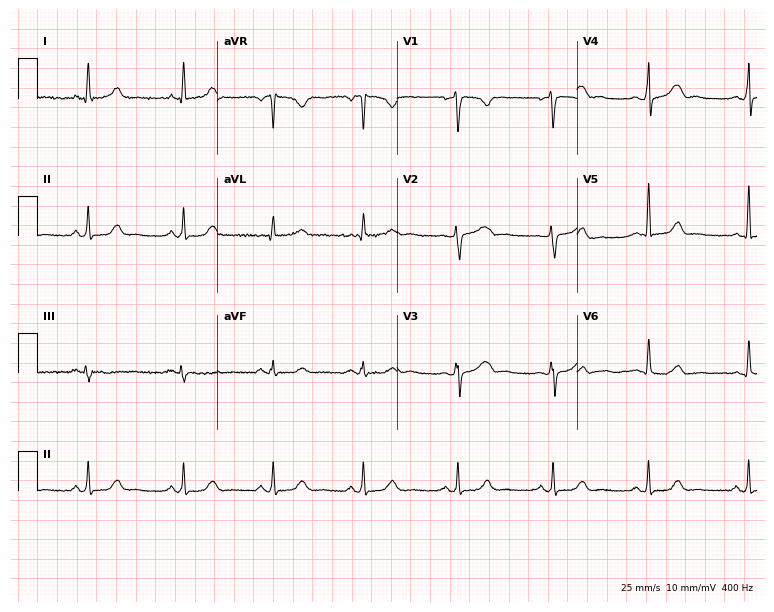
ECG (7.3-second recording at 400 Hz) — a female, 43 years old. Labelled as a normal ECG.